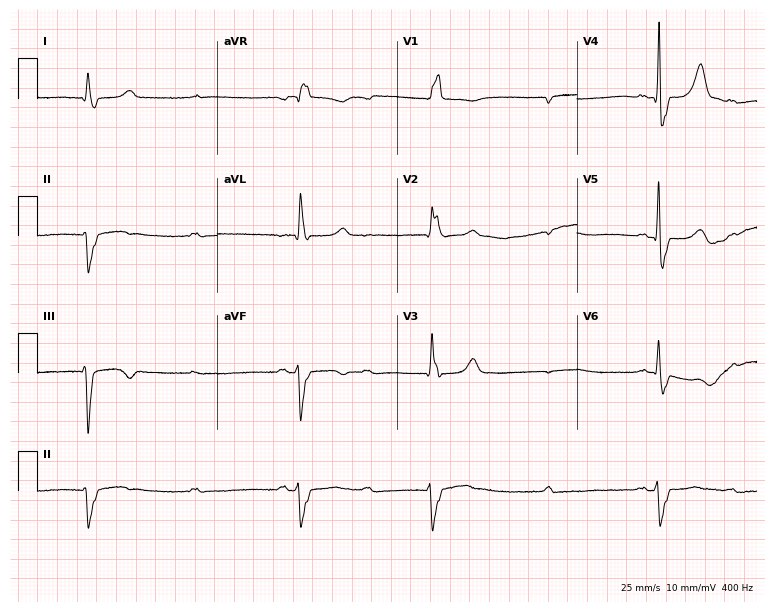
12-lead ECG from an 82-year-old male. No first-degree AV block, right bundle branch block, left bundle branch block, sinus bradycardia, atrial fibrillation or sinus tachycardia recorded for this tracing. Other findings, if any, are not listed.